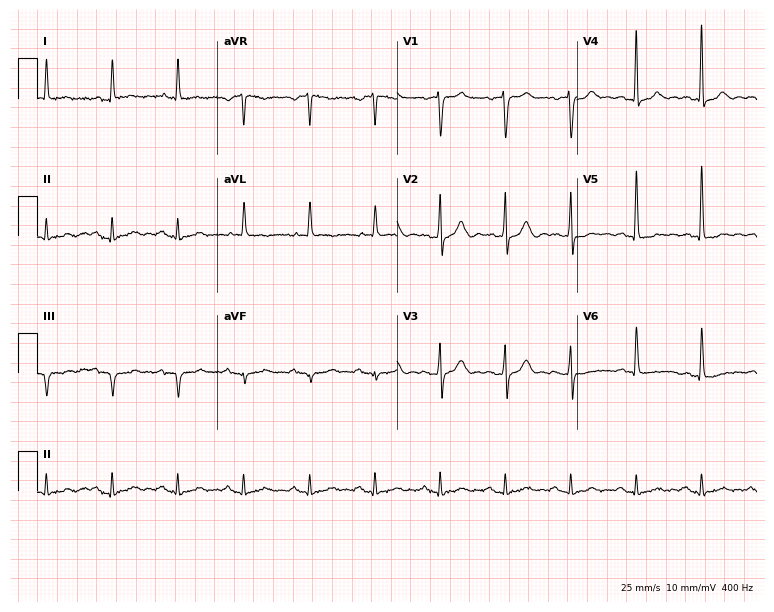
Resting 12-lead electrocardiogram (7.3-second recording at 400 Hz). Patient: a male, 78 years old. None of these six findings is recorded: first-degree AV block, right bundle branch block, left bundle branch block, sinus bradycardia, atrial fibrillation, sinus tachycardia.